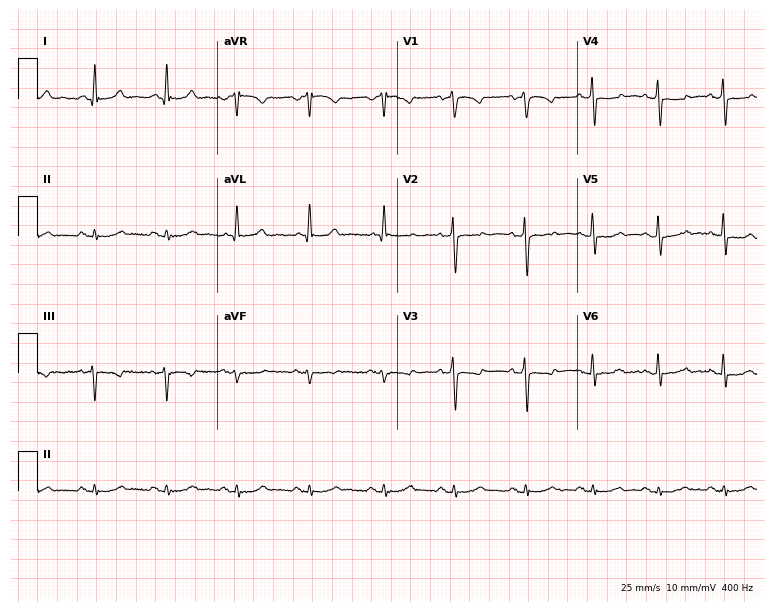
Standard 12-lead ECG recorded from a 77-year-old woman. Read as a normal ECG.